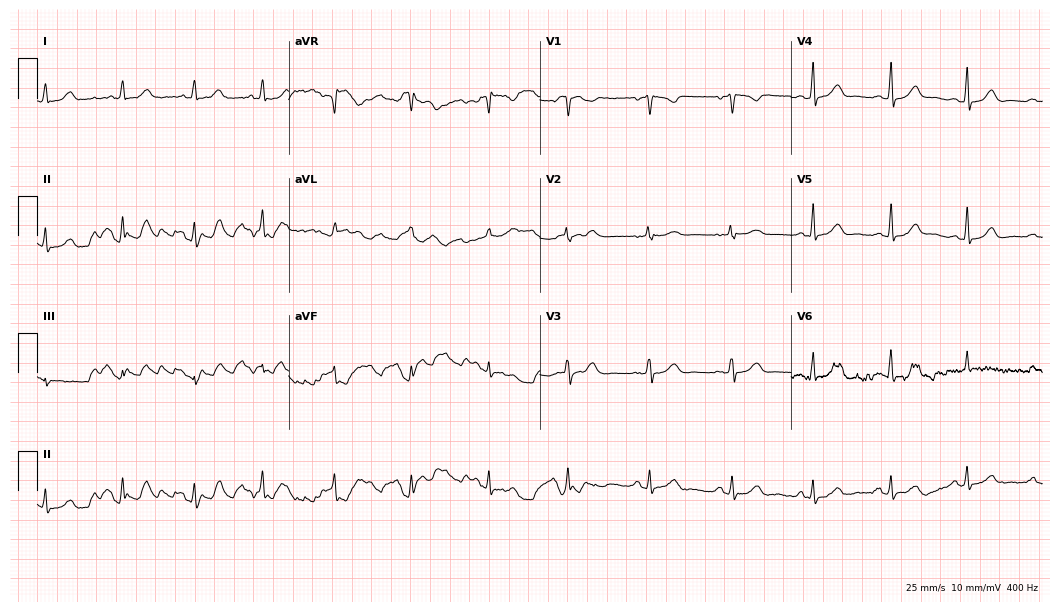
ECG (10.2-second recording at 400 Hz) — a 44-year-old woman. Labelled as a normal ECG.